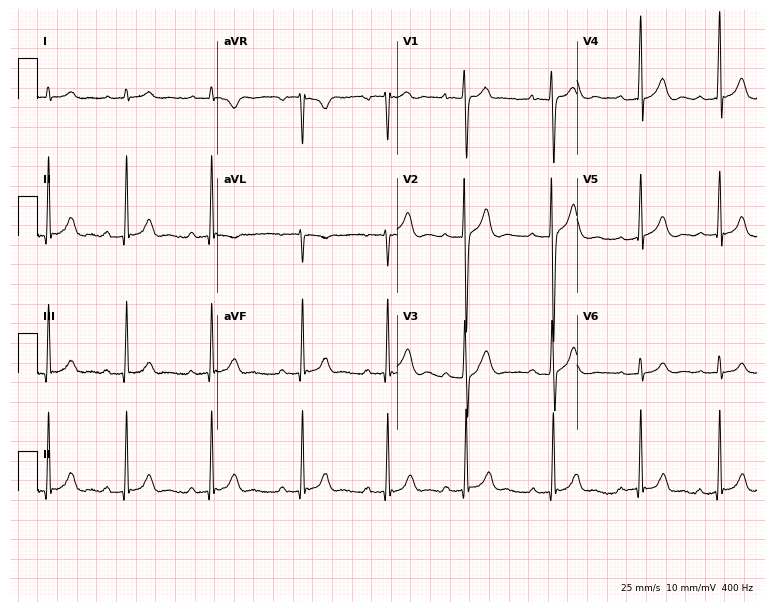
Electrocardiogram (7.3-second recording at 400 Hz), a man, 19 years old. Overall reading on record: normal ECG.